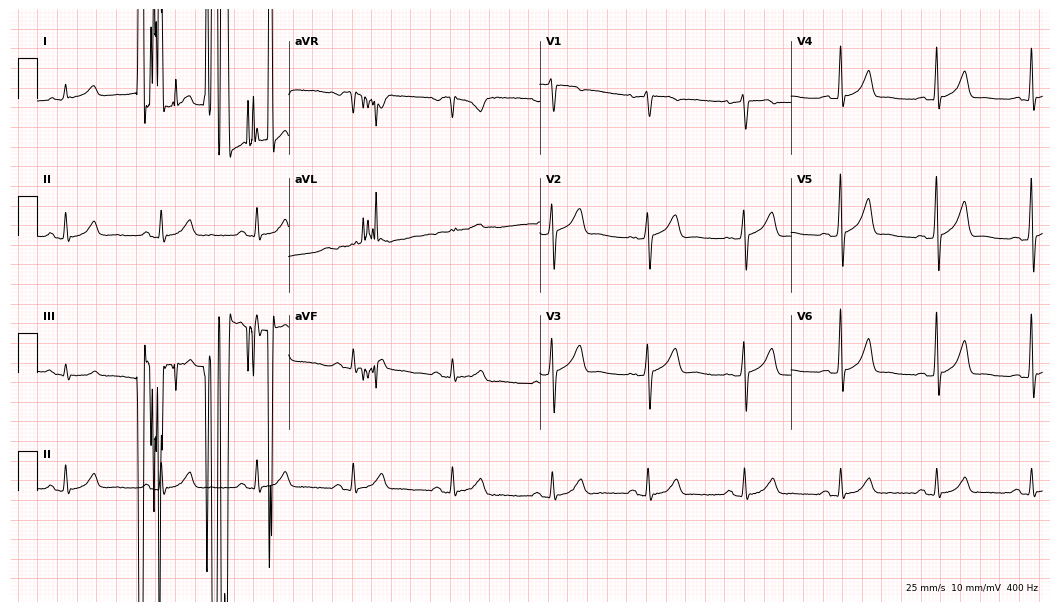
Resting 12-lead electrocardiogram (10.2-second recording at 400 Hz). Patient: a 56-year-old man. None of these six findings is recorded: first-degree AV block, right bundle branch block, left bundle branch block, sinus bradycardia, atrial fibrillation, sinus tachycardia. Other findings, if any, are not listed.